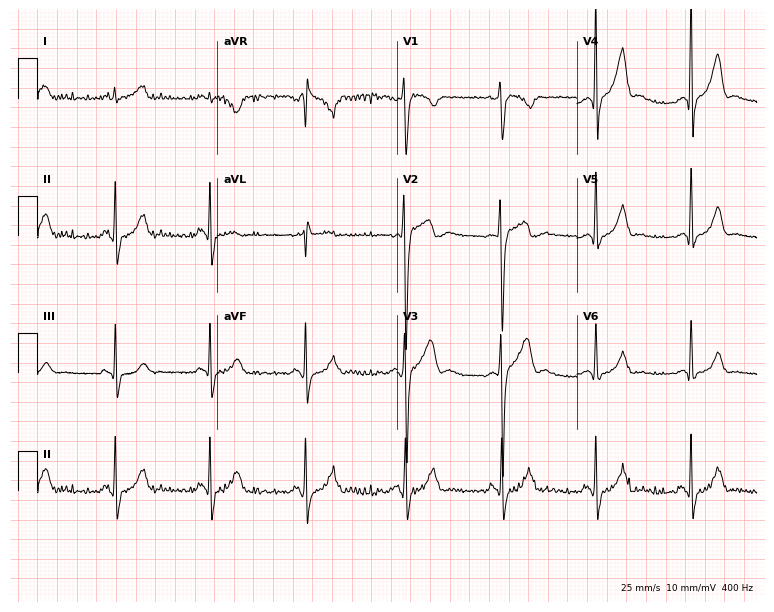
Electrocardiogram, a 27-year-old man. Of the six screened findings (first-degree AV block, right bundle branch block, left bundle branch block, sinus bradycardia, atrial fibrillation, sinus tachycardia), none is recorded. Only these six findings were labelled.